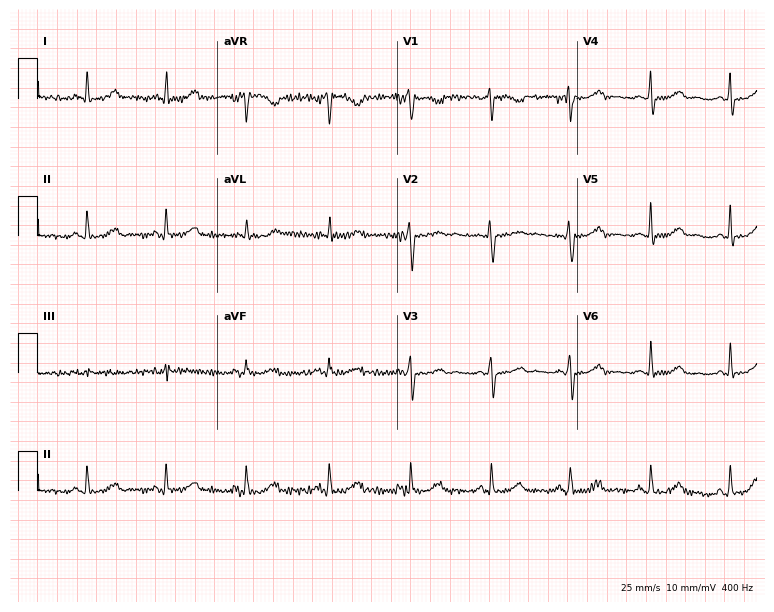
12-lead ECG (7.3-second recording at 400 Hz) from a female patient, 57 years old. Screened for six findings — first-degree AV block, right bundle branch block, left bundle branch block, sinus bradycardia, atrial fibrillation, sinus tachycardia — none is recorded. Only these six findings were labelled.